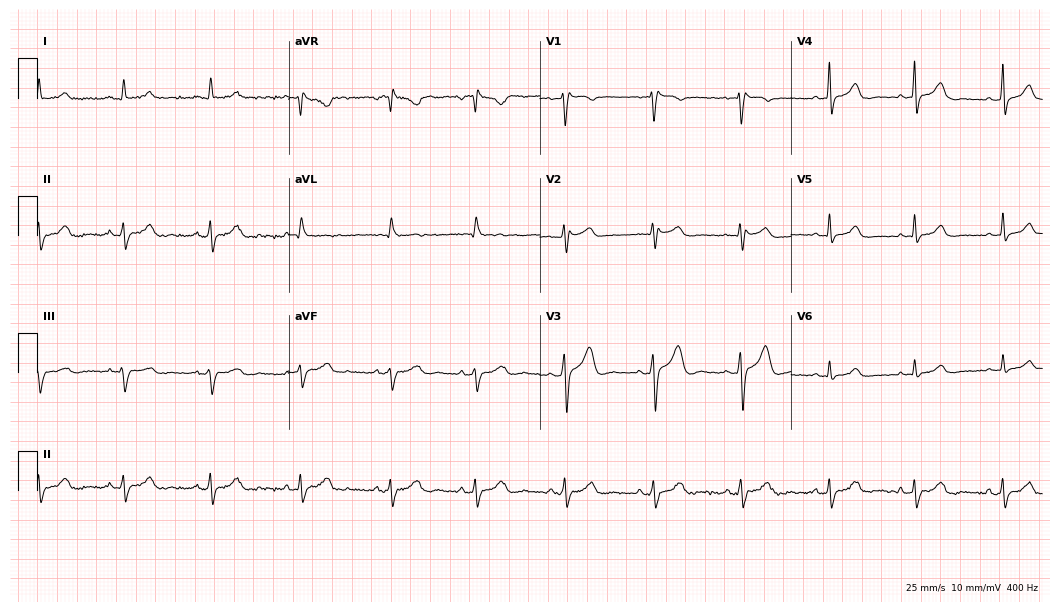
Electrocardiogram, a female, 35 years old. Of the six screened findings (first-degree AV block, right bundle branch block, left bundle branch block, sinus bradycardia, atrial fibrillation, sinus tachycardia), none is recorded. Only these six findings were labelled.